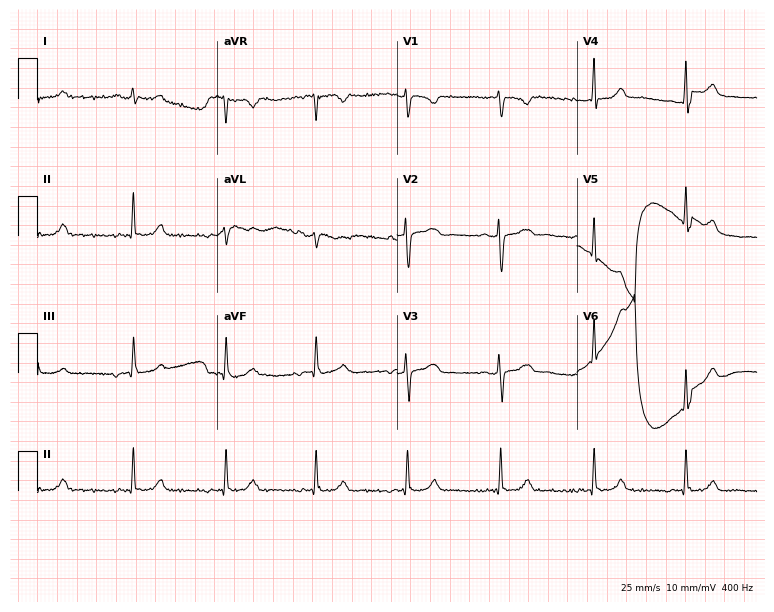
Resting 12-lead electrocardiogram (7.3-second recording at 400 Hz). Patient: a female, 29 years old. None of these six findings is recorded: first-degree AV block, right bundle branch block (RBBB), left bundle branch block (LBBB), sinus bradycardia, atrial fibrillation (AF), sinus tachycardia. Only these six findings were labelled.